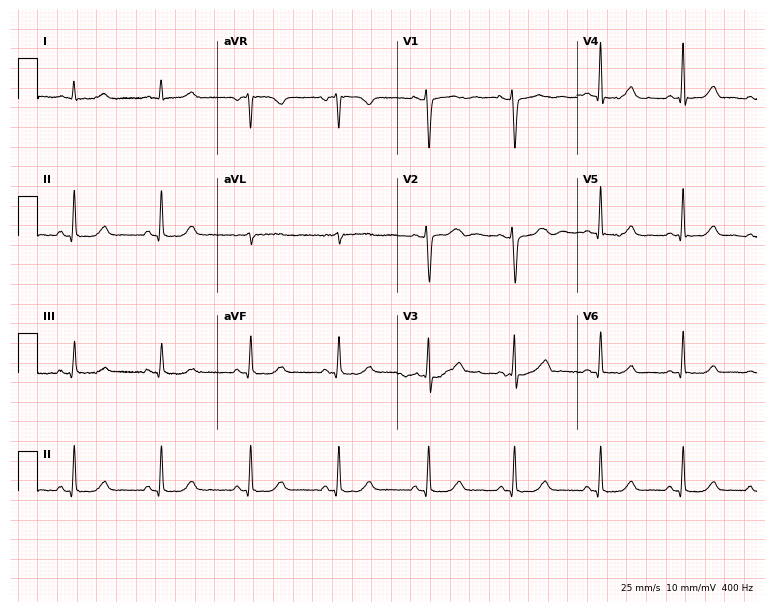
12-lead ECG from a 52-year-old female patient (7.3-second recording at 400 Hz). No first-degree AV block, right bundle branch block, left bundle branch block, sinus bradycardia, atrial fibrillation or sinus tachycardia recorded for this tracing.